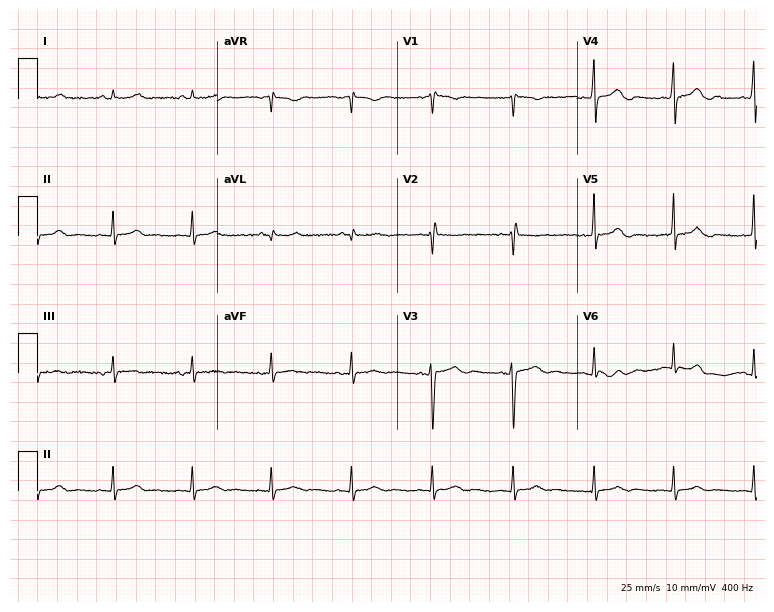
12-lead ECG from a female patient, 50 years old. No first-degree AV block, right bundle branch block (RBBB), left bundle branch block (LBBB), sinus bradycardia, atrial fibrillation (AF) or sinus tachycardia recorded for this tracing.